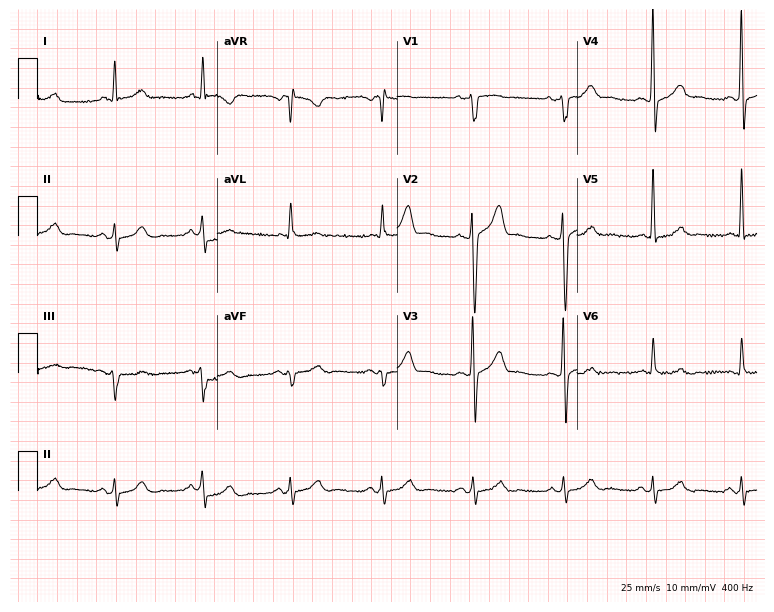
Resting 12-lead electrocardiogram (7.3-second recording at 400 Hz). Patient: a 57-year-old male. Read as a normal ECG.